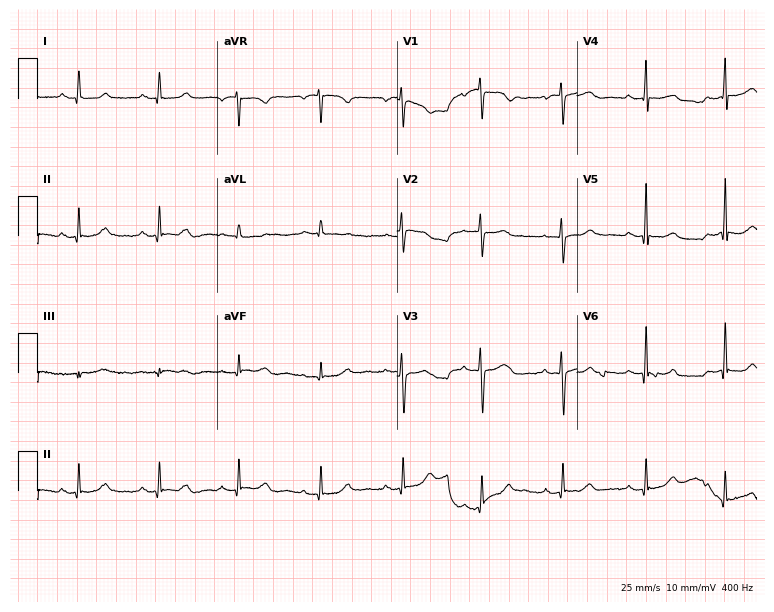
ECG — a 36-year-old man. Labelled as a normal ECG.